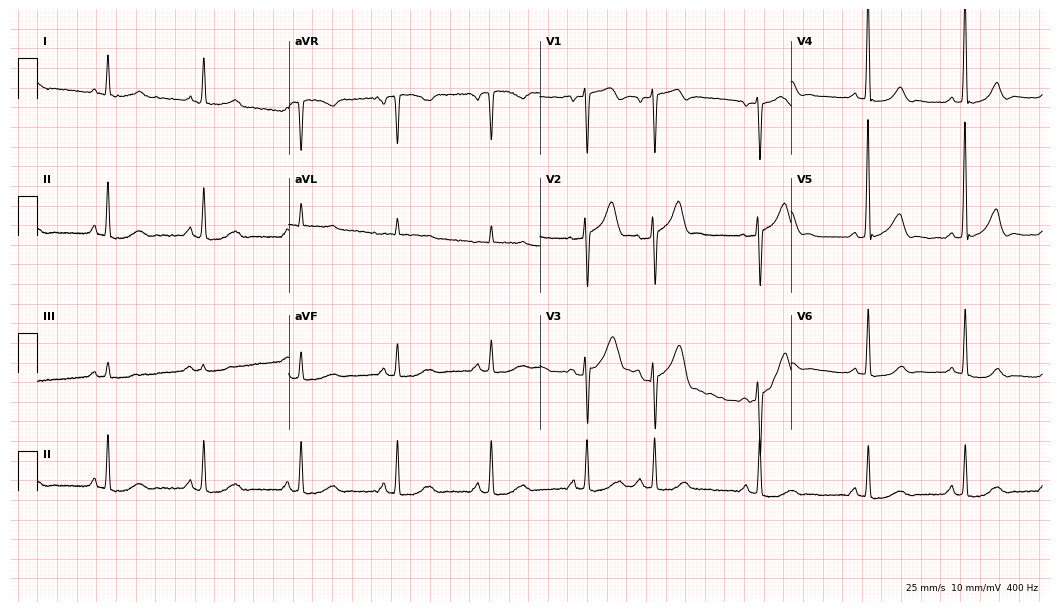
12-lead ECG from a male, 74 years old. No first-degree AV block, right bundle branch block, left bundle branch block, sinus bradycardia, atrial fibrillation or sinus tachycardia recorded for this tracing. Only these six findings were labelled.